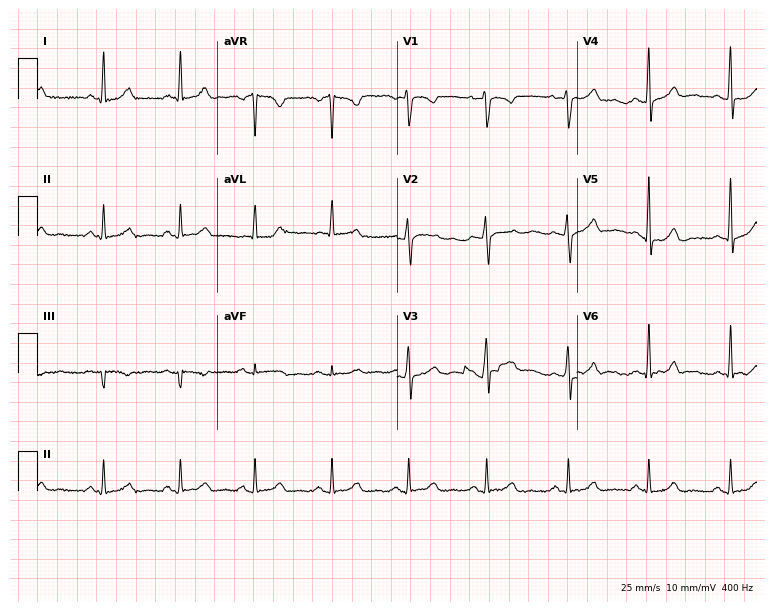
Standard 12-lead ECG recorded from a 44-year-old woman. Read as a normal ECG.